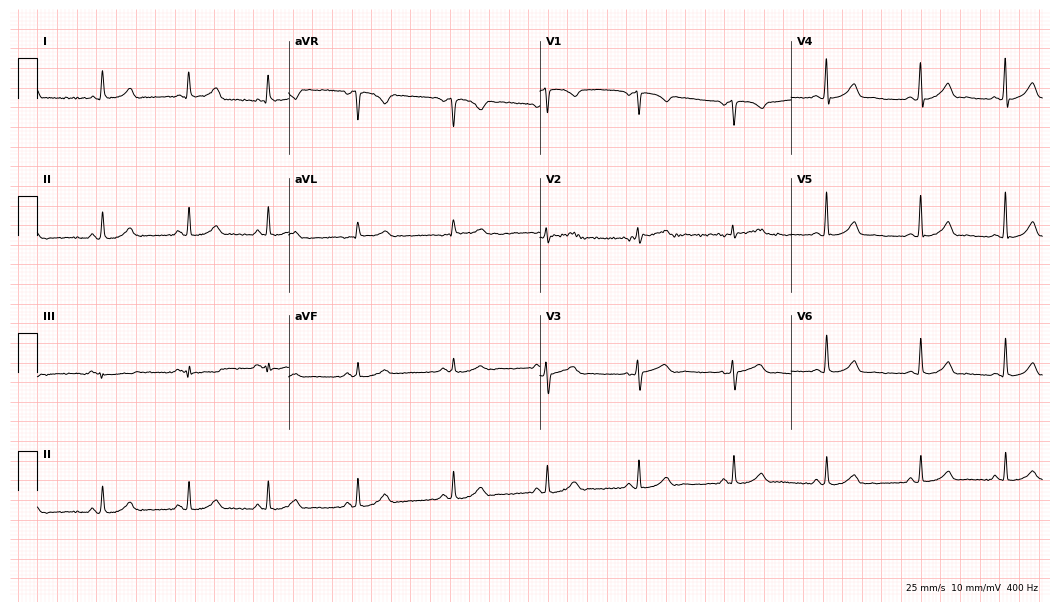
12-lead ECG from a female patient, 21 years old. Labelled as a normal ECG.